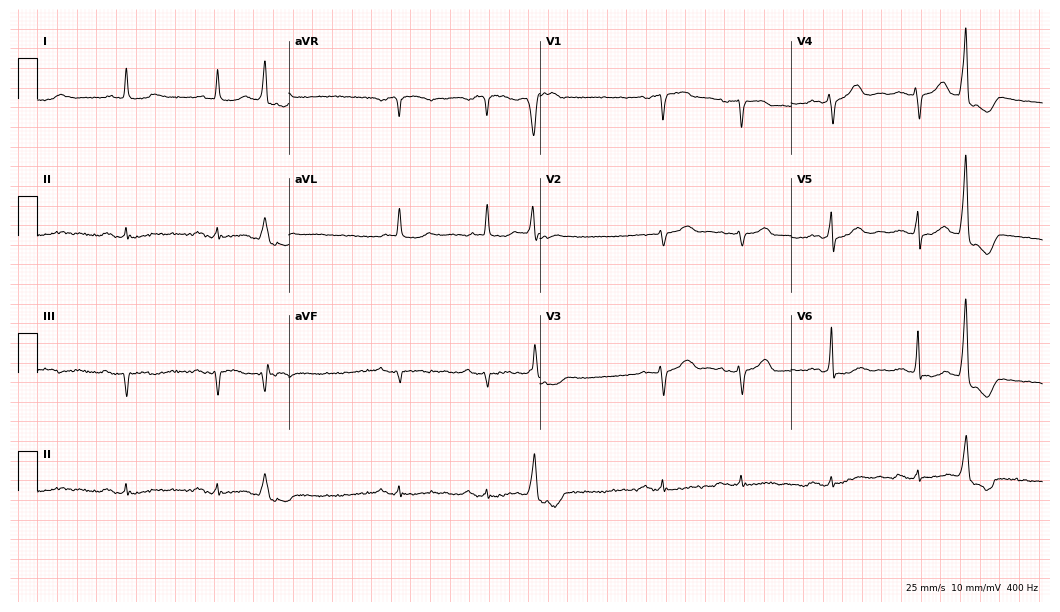
ECG (10.2-second recording at 400 Hz) — a 75-year-old male. Screened for six findings — first-degree AV block, right bundle branch block, left bundle branch block, sinus bradycardia, atrial fibrillation, sinus tachycardia — none is recorded. Only these six findings were labelled.